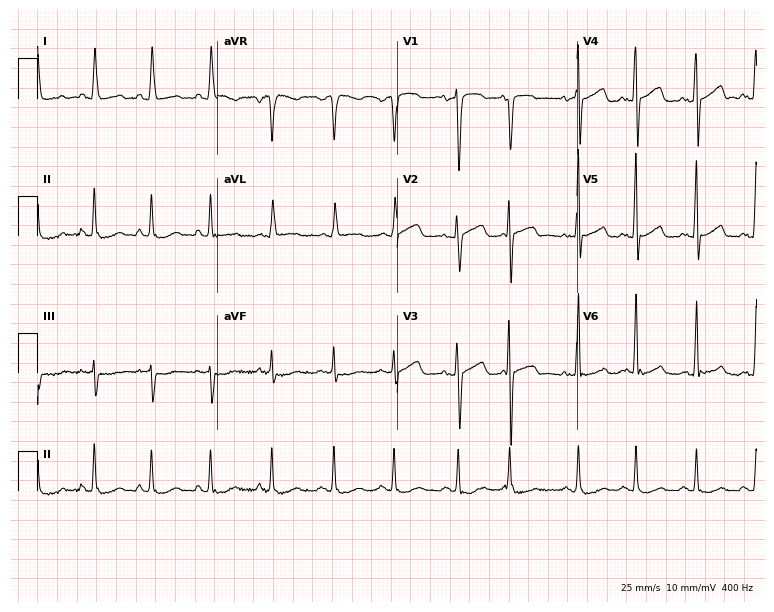
Electrocardiogram (7.3-second recording at 400 Hz), a 70-year-old female patient. Of the six screened findings (first-degree AV block, right bundle branch block, left bundle branch block, sinus bradycardia, atrial fibrillation, sinus tachycardia), none is recorded.